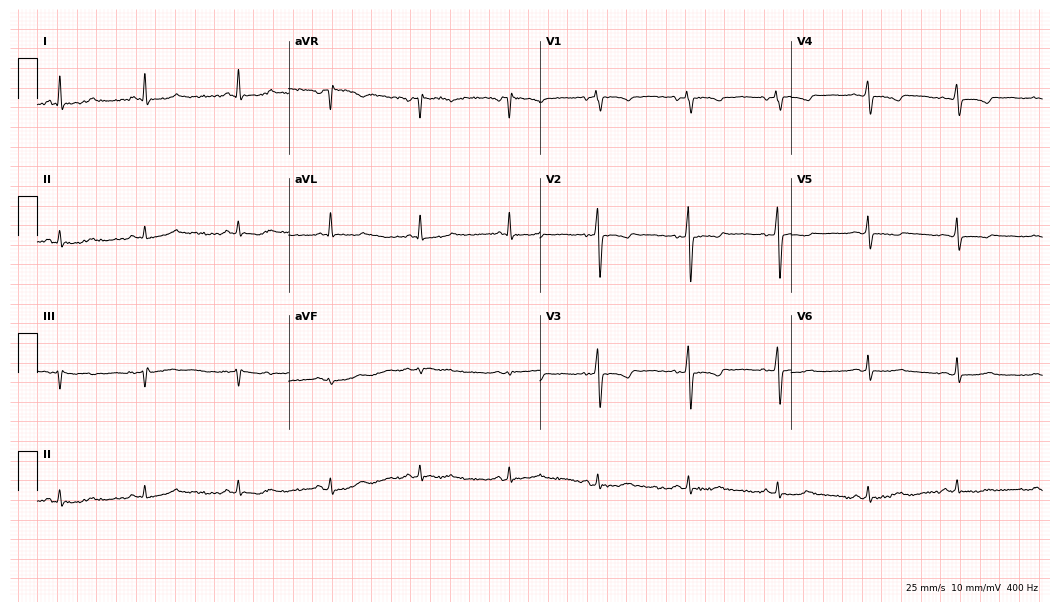
12-lead ECG (10.2-second recording at 400 Hz) from a 77-year-old woman. Screened for six findings — first-degree AV block, right bundle branch block (RBBB), left bundle branch block (LBBB), sinus bradycardia, atrial fibrillation (AF), sinus tachycardia — none is recorded. Findings outside these six are not listed.